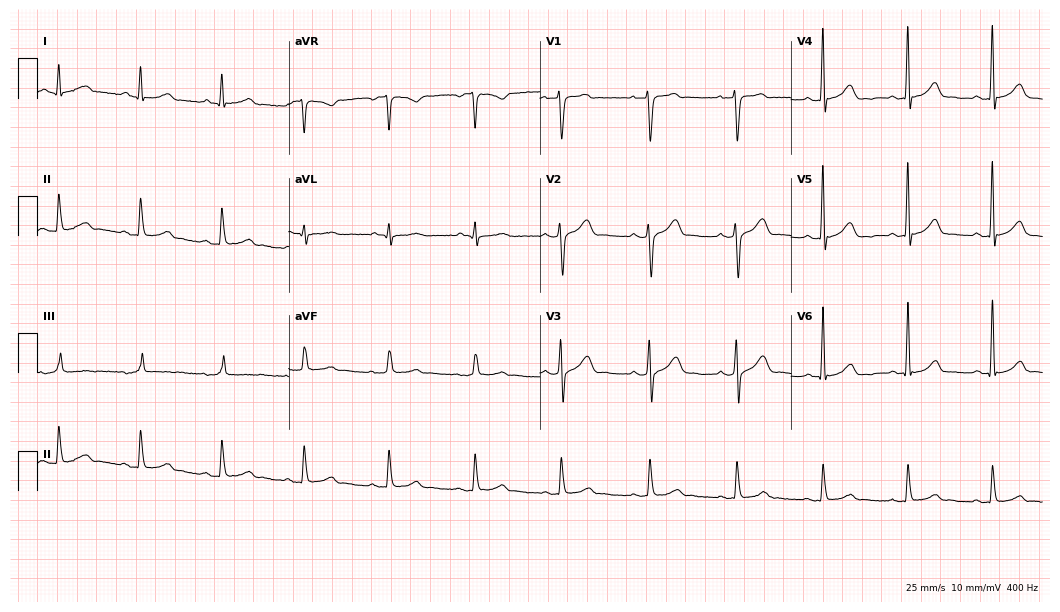
Standard 12-lead ECG recorded from a male patient, 32 years old. None of these six findings is recorded: first-degree AV block, right bundle branch block, left bundle branch block, sinus bradycardia, atrial fibrillation, sinus tachycardia. Other findings, if any, are not listed.